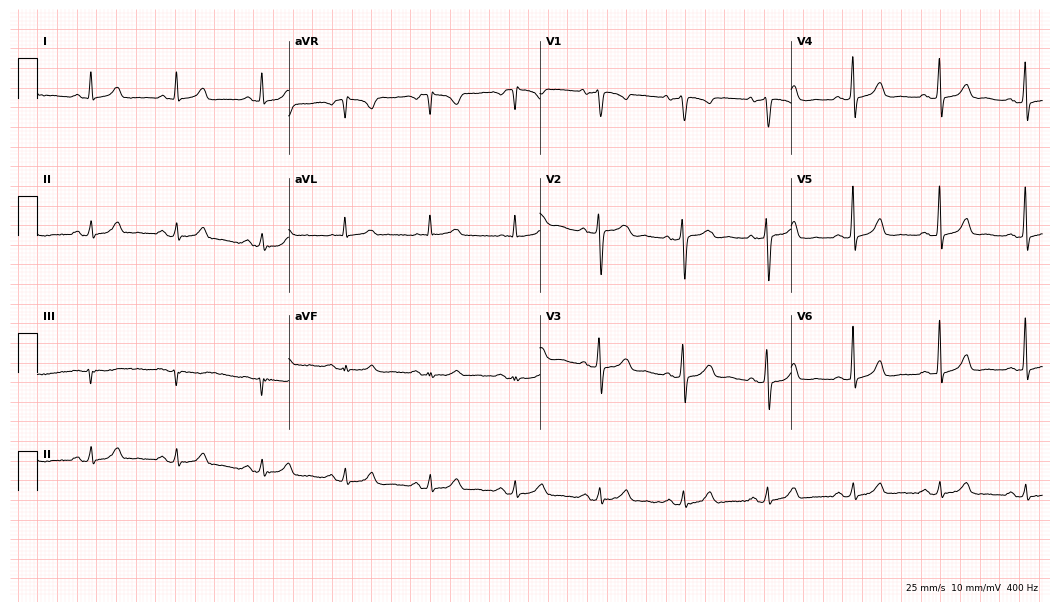
Standard 12-lead ECG recorded from a woman, 56 years old. None of these six findings is recorded: first-degree AV block, right bundle branch block, left bundle branch block, sinus bradycardia, atrial fibrillation, sinus tachycardia. Other findings, if any, are not listed.